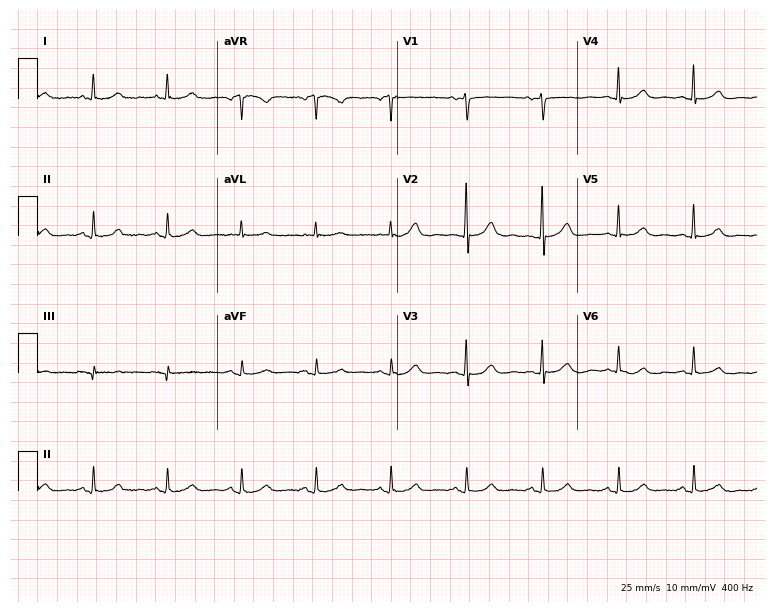
Electrocardiogram, a 67-year-old woman. Overall reading on record: normal ECG.